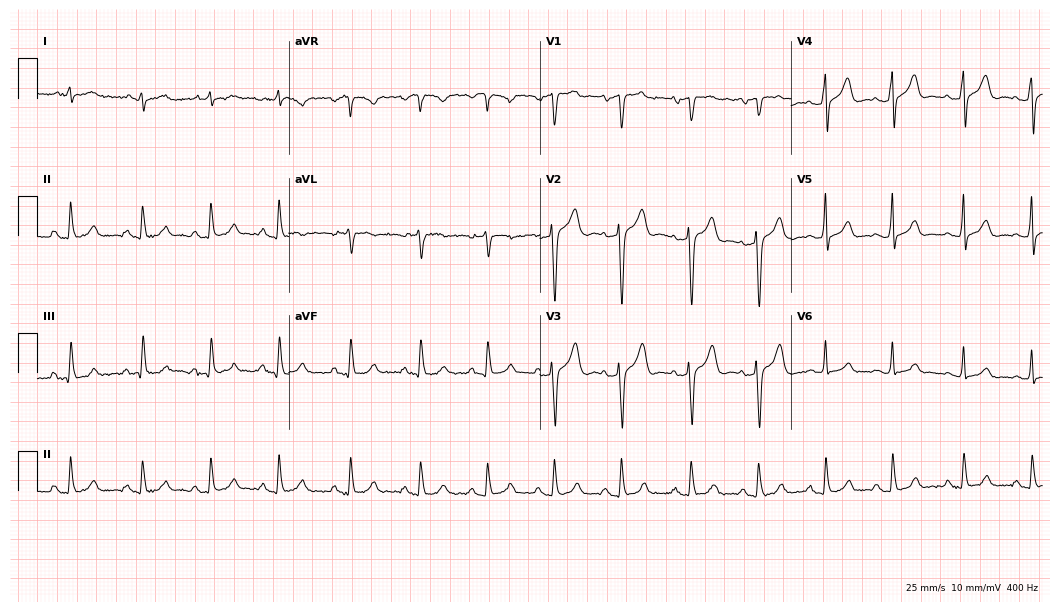
Electrocardiogram (10.2-second recording at 400 Hz), a 69-year-old man. Overall reading on record: normal ECG.